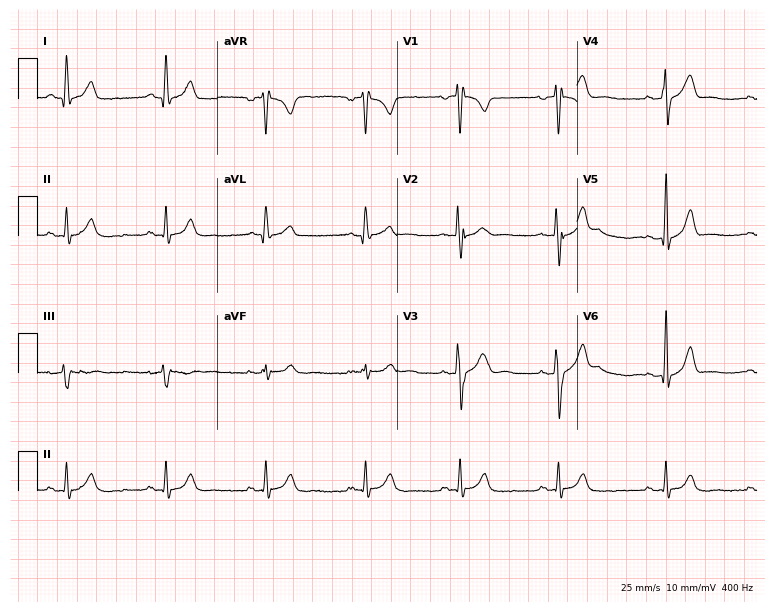
12-lead ECG from a male patient, 43 years old. Screened for six findings — first-degree AV block, right bundle branch block, left bundle branch block, sinus bradycardia, atrial fibrillation, sinus tachycardia — none is recorded. Findings outside these six are not listed.